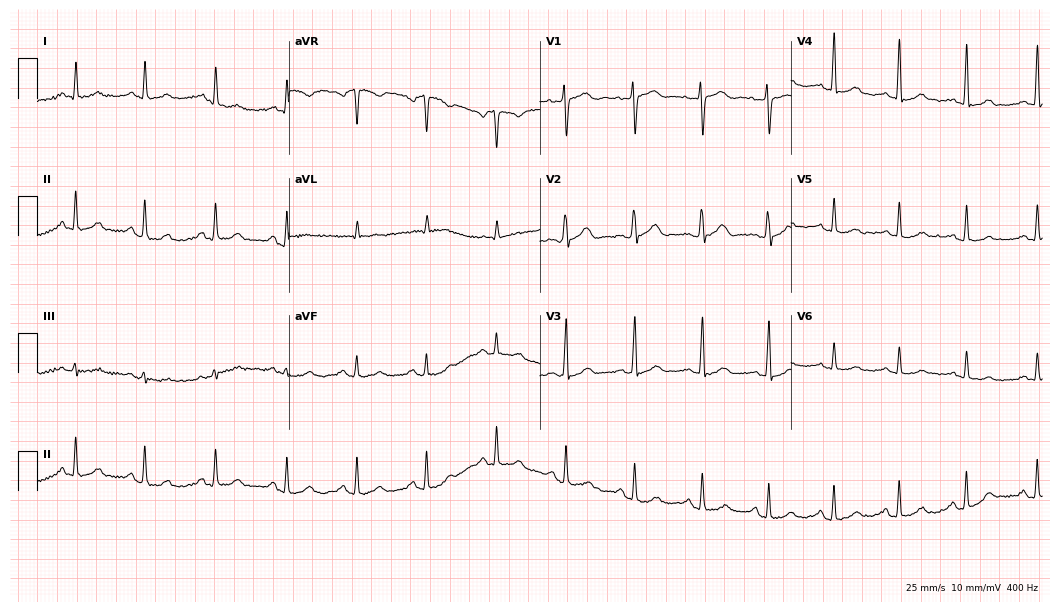
Standard 12-lead ECG recorded from a woman, 46 years old. None of these six findings is recorded: first-degree AV block, right bundle branch block, left bundle branch block, sinus bradycardia, atrial fibrillation, sinus tachycardia. Findings outside these six are not listed.